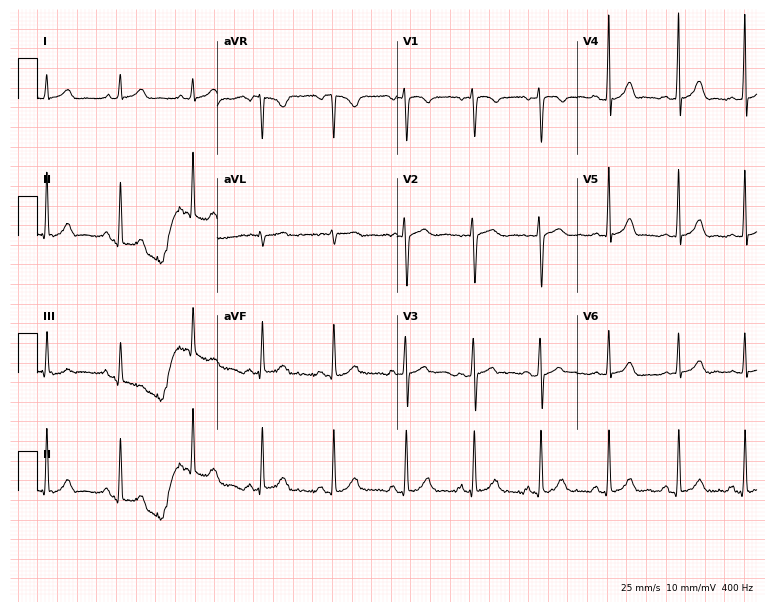
12-lead ECG from a 25-year-old female. Screened for six findings — first-degree AV block, right bundle branch block (RBBB), left bundle branch block (LBBB), sinus bradycardia, atrial fibrillation (AF), sinus tachycardia — none is recorded. Only these six findings were labelled.